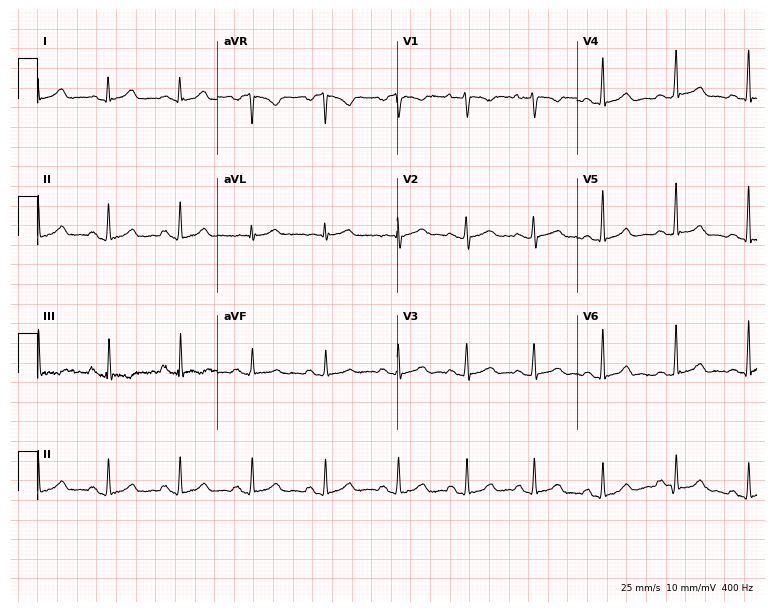
Resting 12-lead electrocardiogram. Patient: a 44-year-old female. Read as a normal ECG.